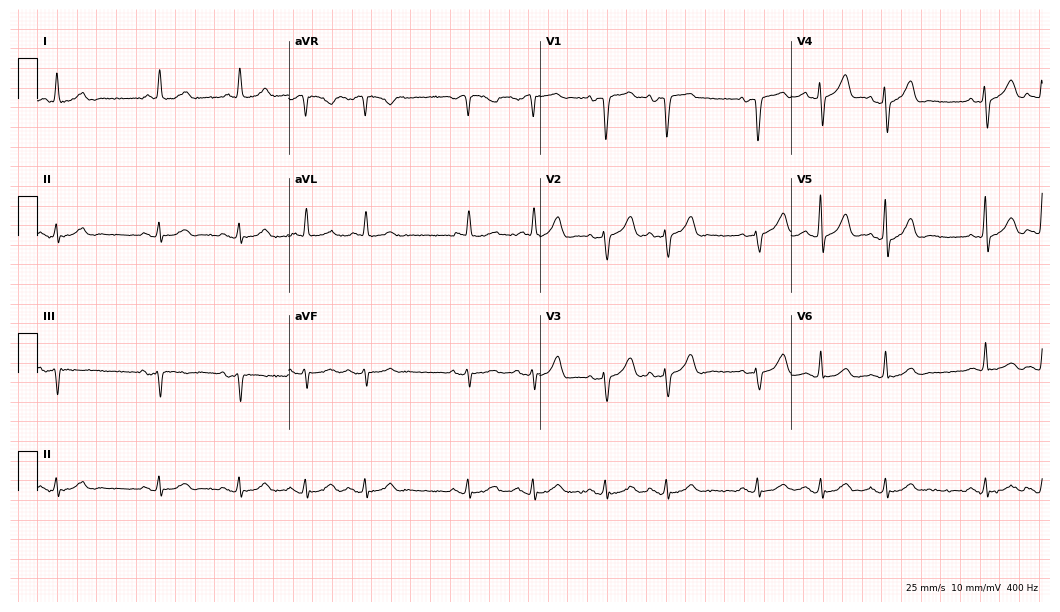
ECG — a male, 79 years old. Screened for six findings — first-degree AV block, right bundle branch block (RBBB), left bundle branch block (LBBB), sinus bradycardia, atrial fibrillation (AF), sinus tachycardia — none is recorded.